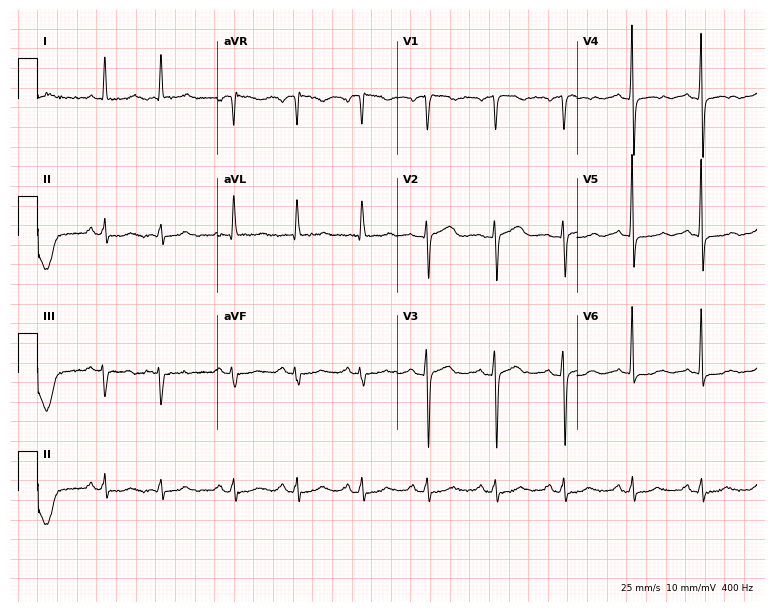
Resting 12-lead electrocardiogram (7.3-second recording at 400 Hz). Patient: a 72-year-old female. None of these six findings is recorded: first-degree AV block, right bundle branch block, left bundle branch block, sinus bradycardia, atrial fibrillation, sinus tachycardia.